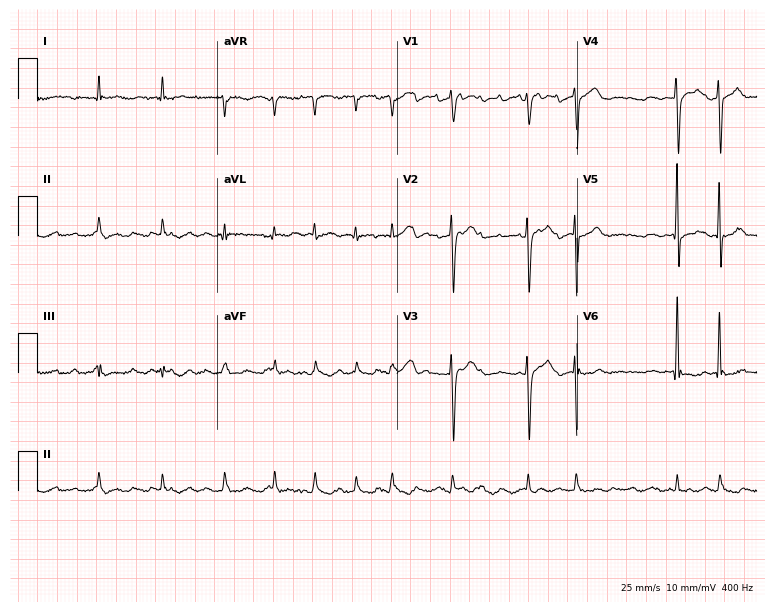
ECG (7.3-second recording at 400 Hz) — a woman, 82 years old. Findings include atrial fibrillation.